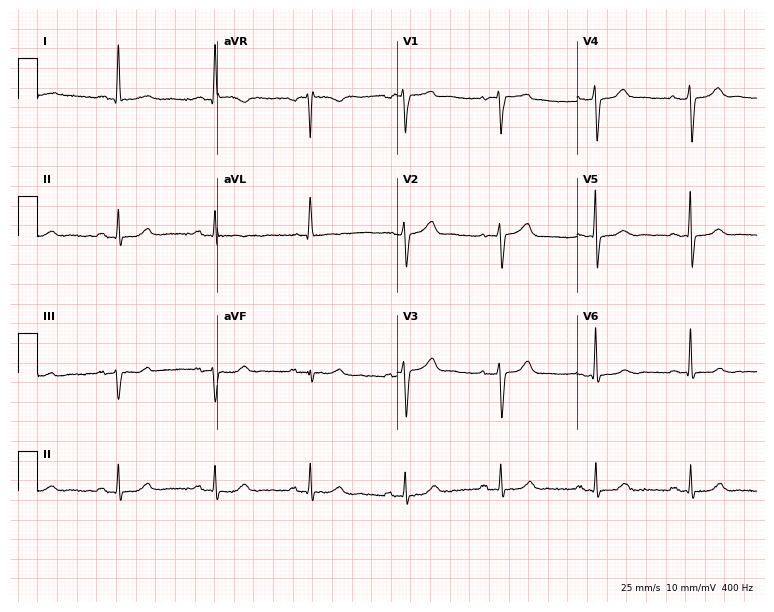
ECG — a 76-year-old woman. Screened for six findings — first-degree AV block, right bundle branch block (RBBB), left bundle branch block (LBBB), sinus bradycardia, atrial fibrillation (AF), sinus tachycardia — none is recorded. Only these six findings were labelled.